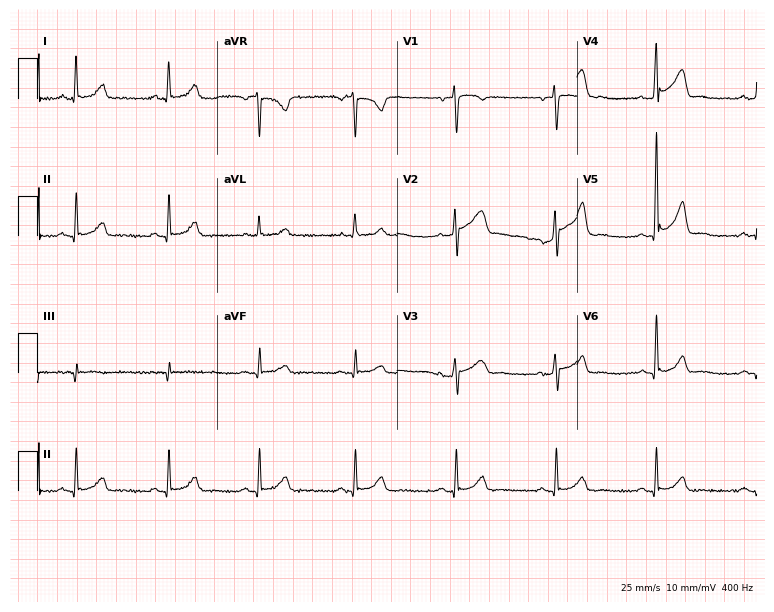
12-lead ECG from a male patient, 47 years old (7.3-second recording at 400 Hz). Recorded interpretation: within normal limits.